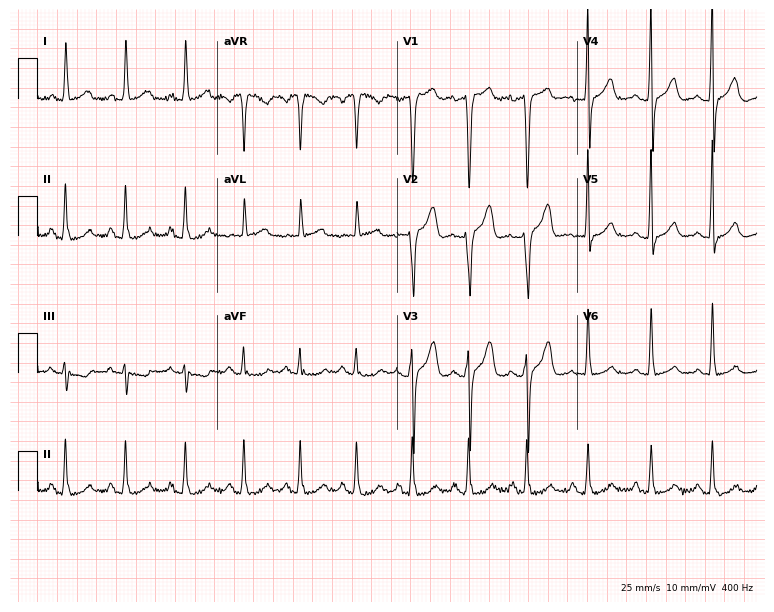
12-lead ECG from a woman, 34 years old (7.3-second recording at 400 Hz). Shows sinus tachycardia (a sinus rate of 100 beats per minute or more).